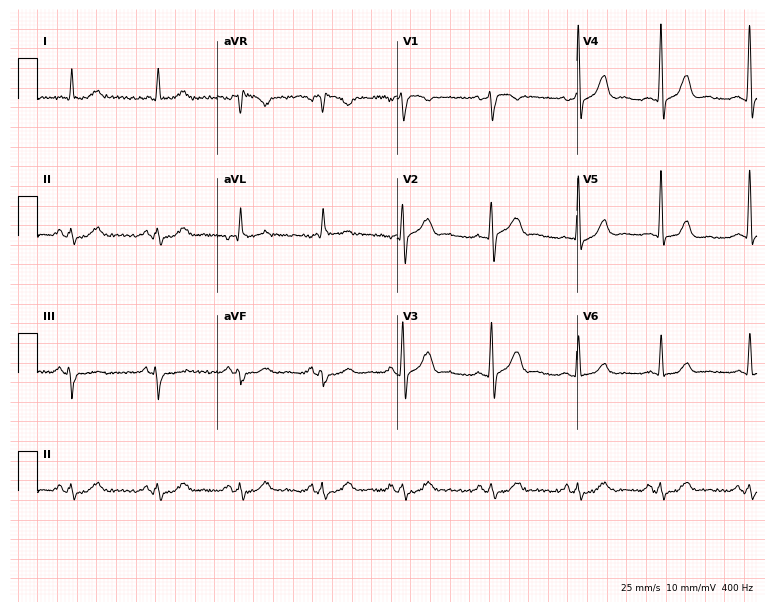
ECG (7.3-second recording at 400 Hz) — a 59-year-old man. Screened for six findings — first-degree AV block, right bundle branch block (RBBB), left bundle branch block (LBBB), sinus bradycardia, atrial fibrillation (AF), sinus tachycardia — none is recorded.